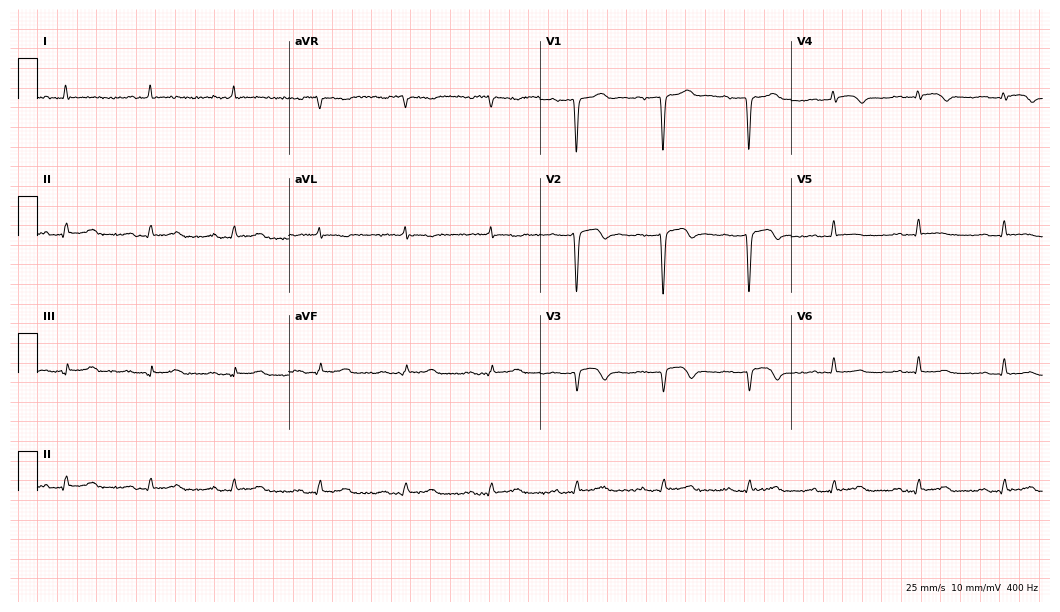
ECG (10.2-second recording at 400 Hz) — a 70-year-old male. Findings include first-degree AV block.